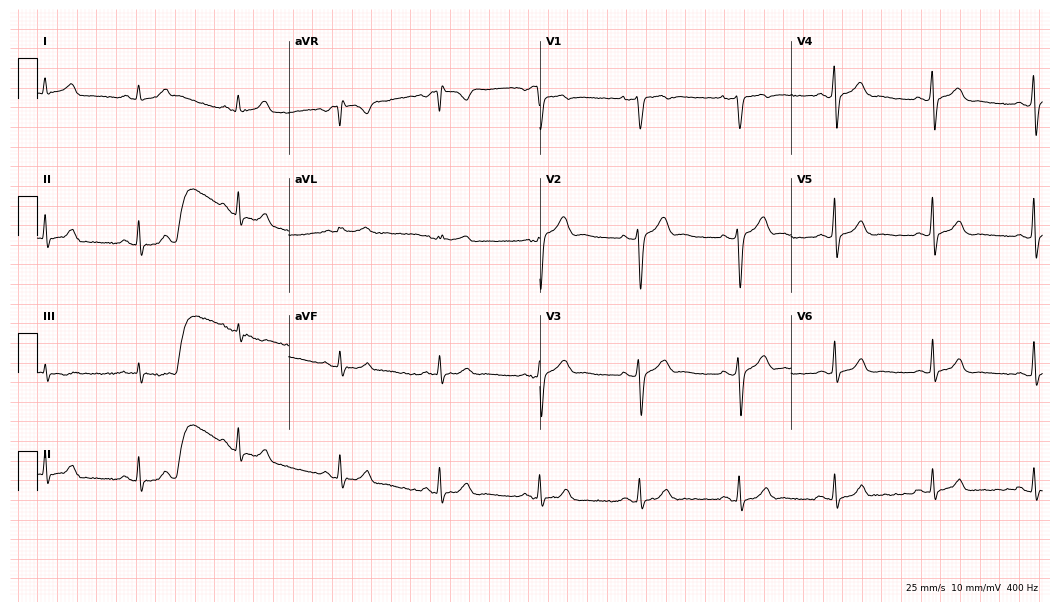
Electrocardiogram (10.2-second recording at 400 Hz), a 27-year-old man. Overall reading on record: normal ECG.